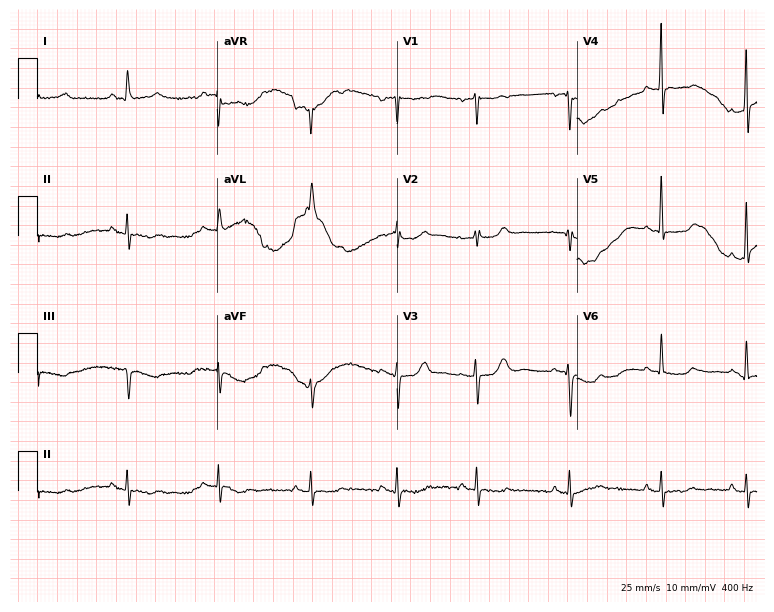
12-lead ECG from a woman, 48 years old (7.3-second recording at 400 Hz). No first-degree AV block, right bundle branch block, left bundle branch block, sinus bradycardia, atrial fibrillation or sinus tachycardia recorded for this tracing. Findings outside these six are not listed.